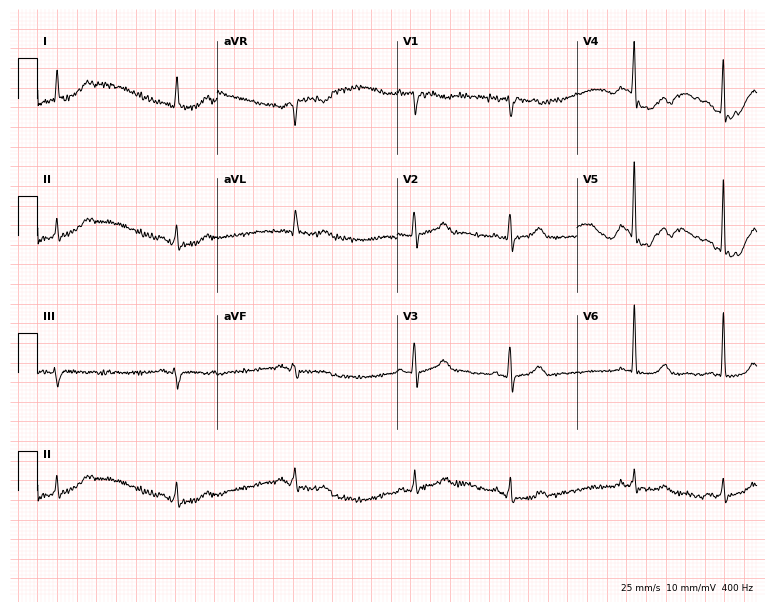
Resting 12-lead electrocardiogram (7.3-second recording at 400 Hz). Patient: a male, 67 years old. Read as a normal ECG.